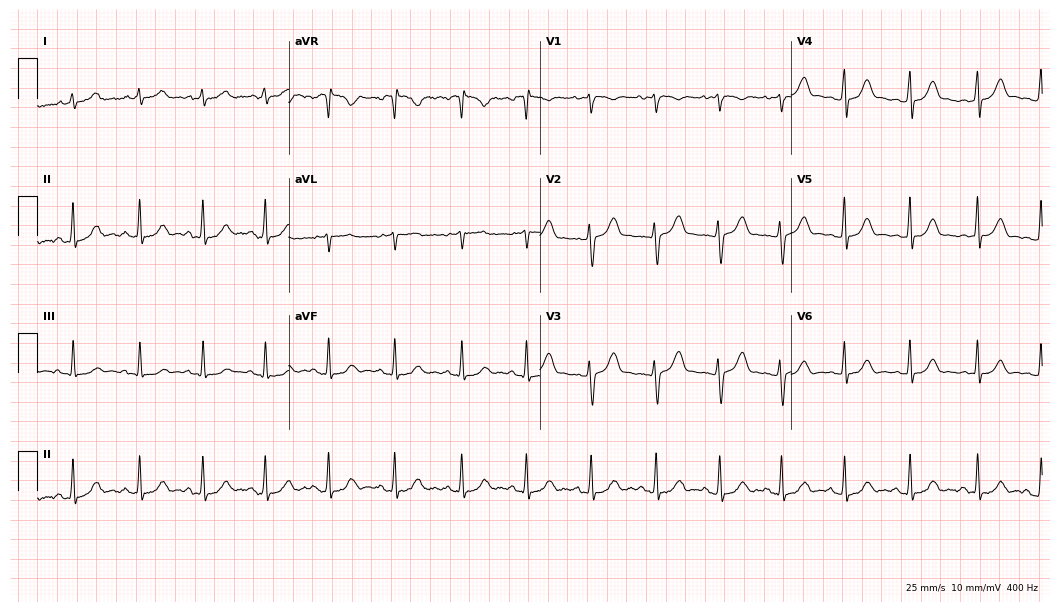
ECG (10.2-second recording at 400 Hz) — a 24-year-old woman. Labelled as a normal ECG.